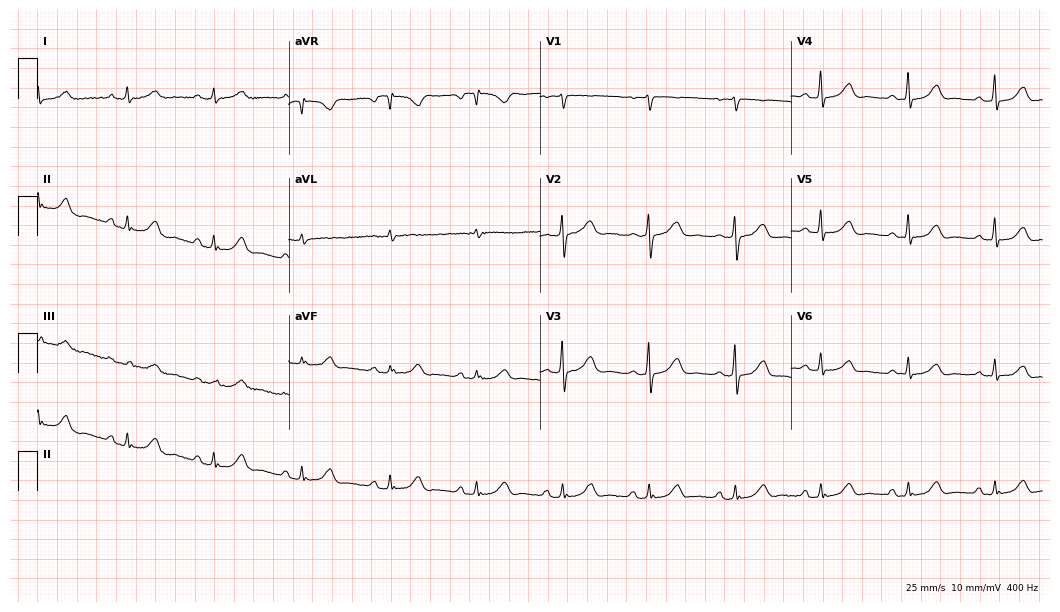
12-lead ECG from a 62-year-old female patient. No first-degree AV block, right bundle branch block (RBBB), left bundle branch block (LBBB), sinus bradycardia, atrial fibrillation (AF) or sinus tachycardia recorded for this tracing.